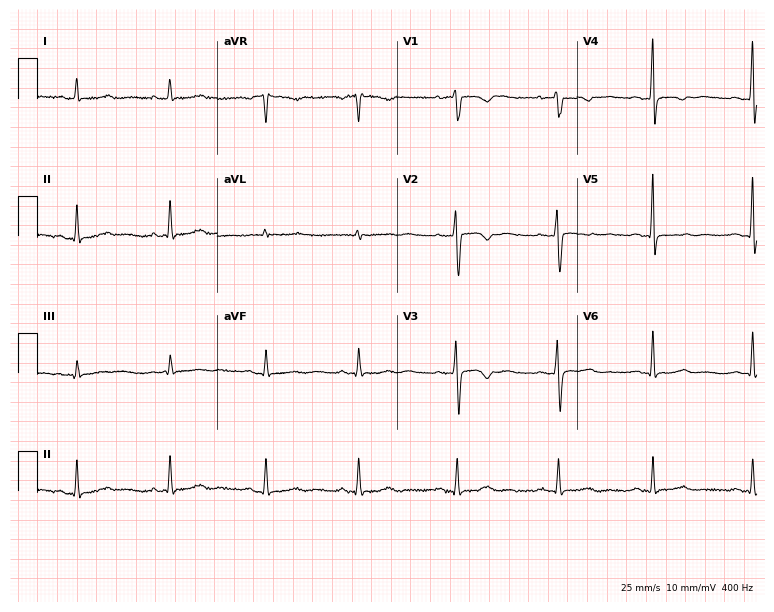
Standard 12-lead ECG recorded from a female, 35 years old. None of these six findings is recorded: first-degree AV block, right bundle branch block, left bundle branch block, sinus bradycardia, atrial fibrillation, sinus tachycardia.